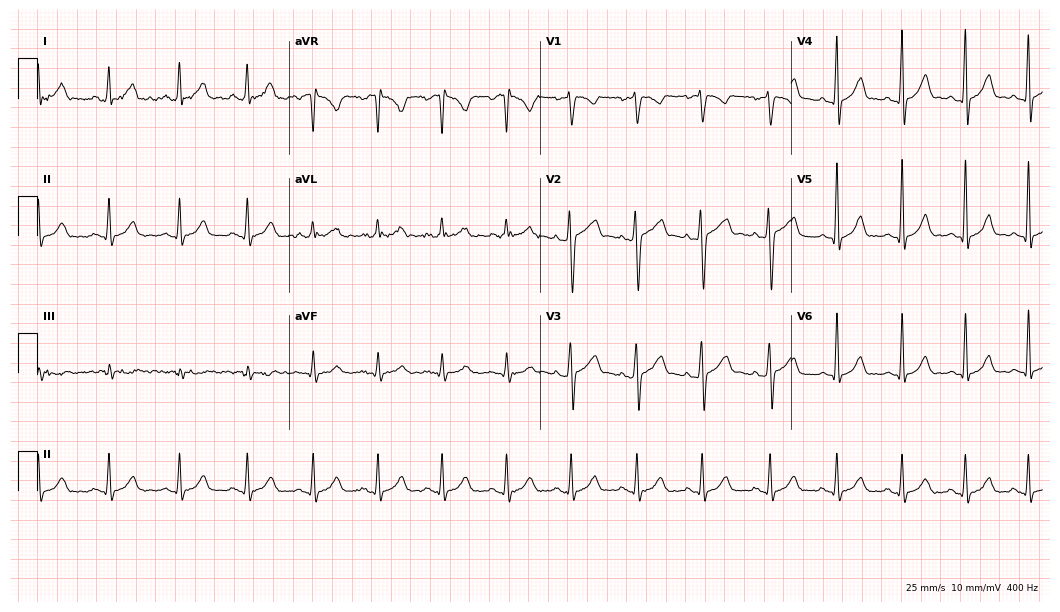
Electrocardiogram (10.2-second recording at 400 Hz), a man, 21 years old. Of the six screened findings (first-degree AV block, right bundle branch block, left bundle branch block, sinus bradycardia, atrial fibrillation, sinus tachycardia), none is recorded. Only these six findings were labelled.